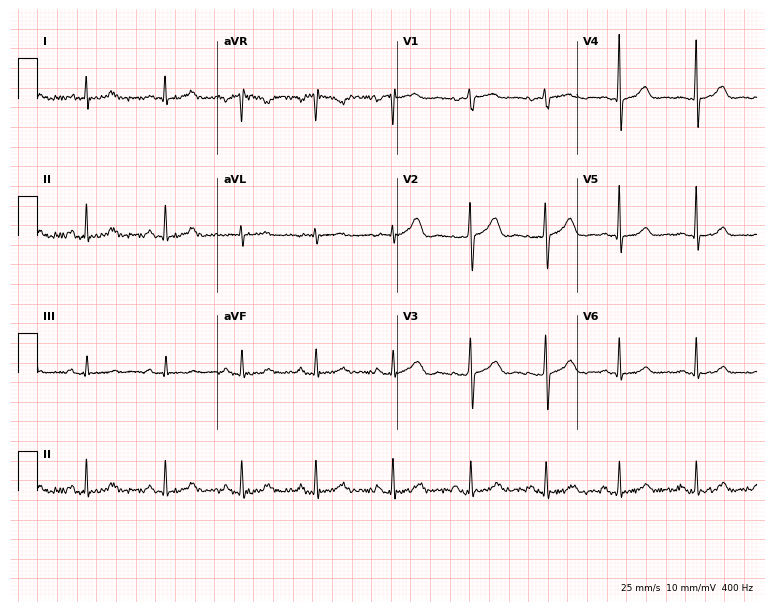
12-lead ECG from a female, 46 years old. Recorded interpretation: within normal limits.